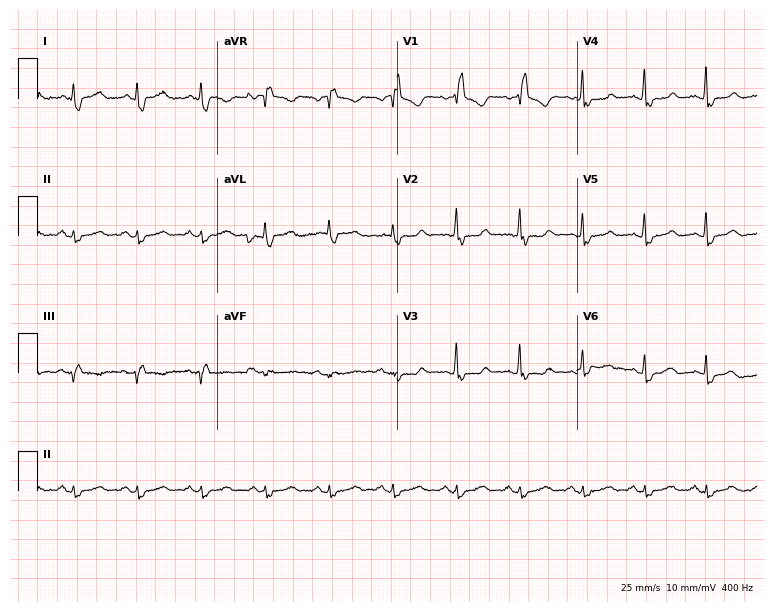
Standard 12-lead ECG recorded from a woman, 47 years old. None of these six findings is recorded: first-degree AV block, right bundle branch block, left bundle branch block, sinus bradycardia, atrial fibrillation, sinus tachycardia. Findings outside these six are not listed.